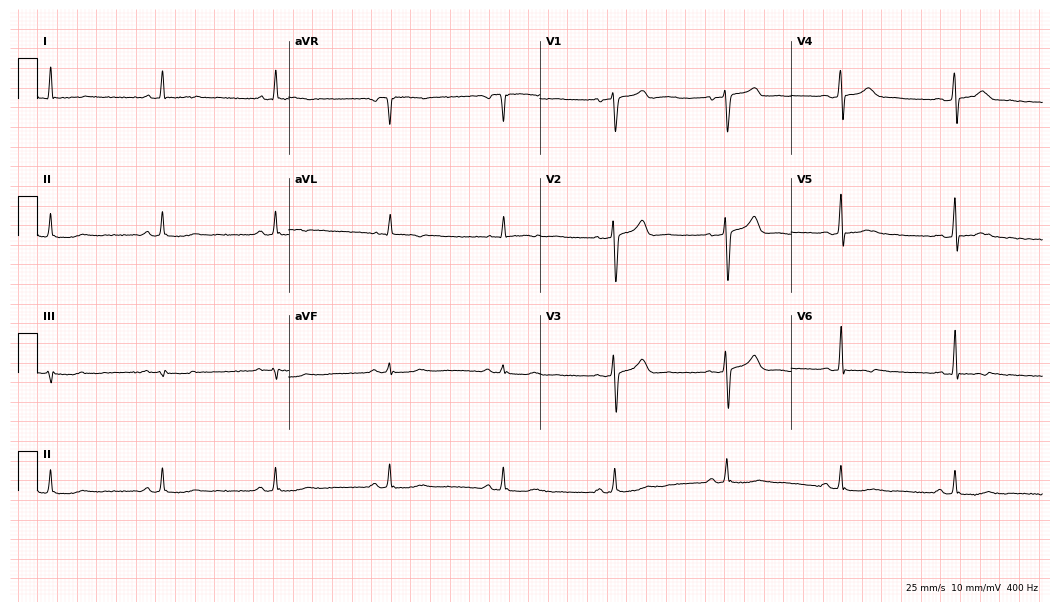
Standard 12-lead ECG recorded from a woman, 55 years old. None of these six findings is recorded: first-degree AV block, right bundle branch block, left bundle branch block, sinus bradycardia, atrial fibrillation, sinus tachycardia.